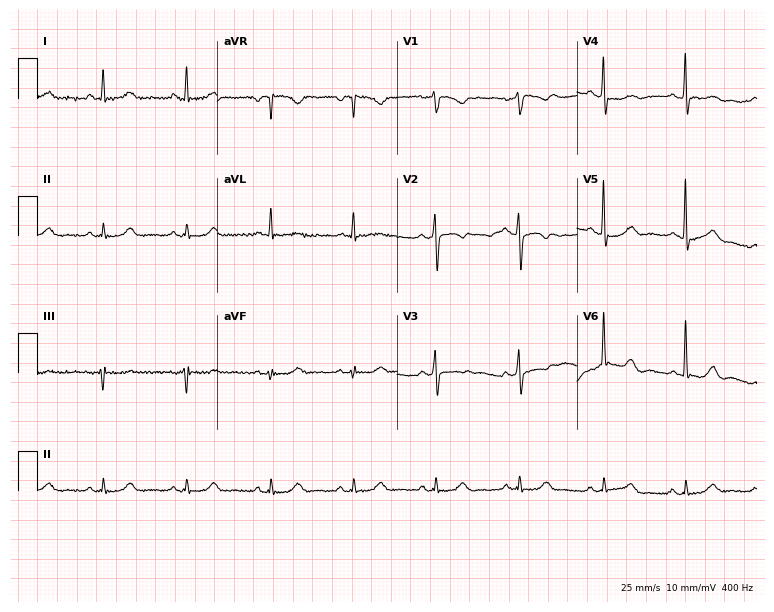
Standard 12-lead ECG recorded from a female patient, 59 years old (7.3-second recording at 400 Hz). Read as a normal ECG.